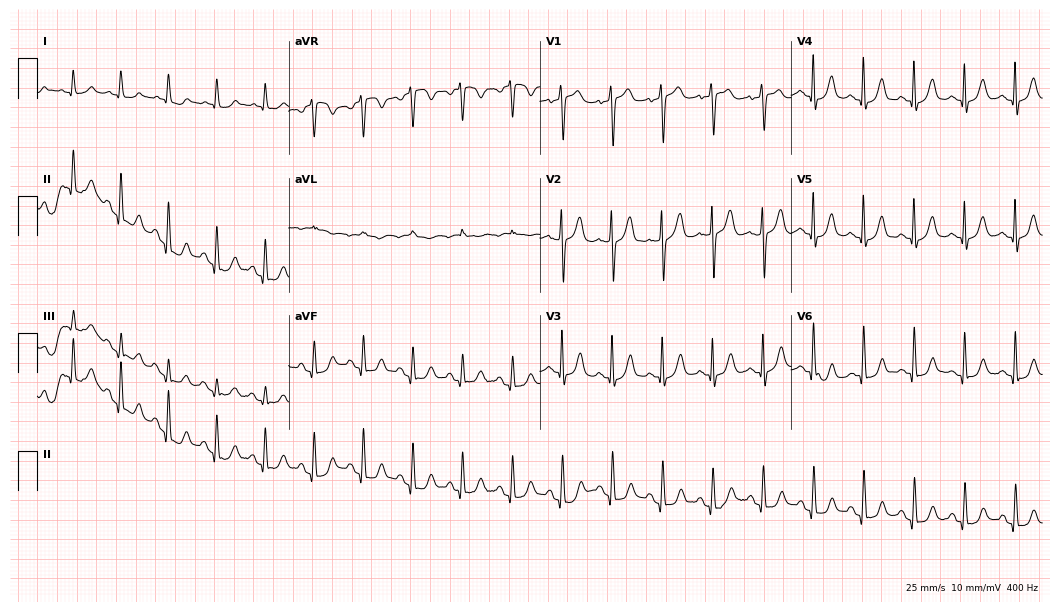
Electrocardiogram, a female patient, 81 years old. Interpretation includes sinus tachycardia (a sinus rate of 100 beats per minute or more).